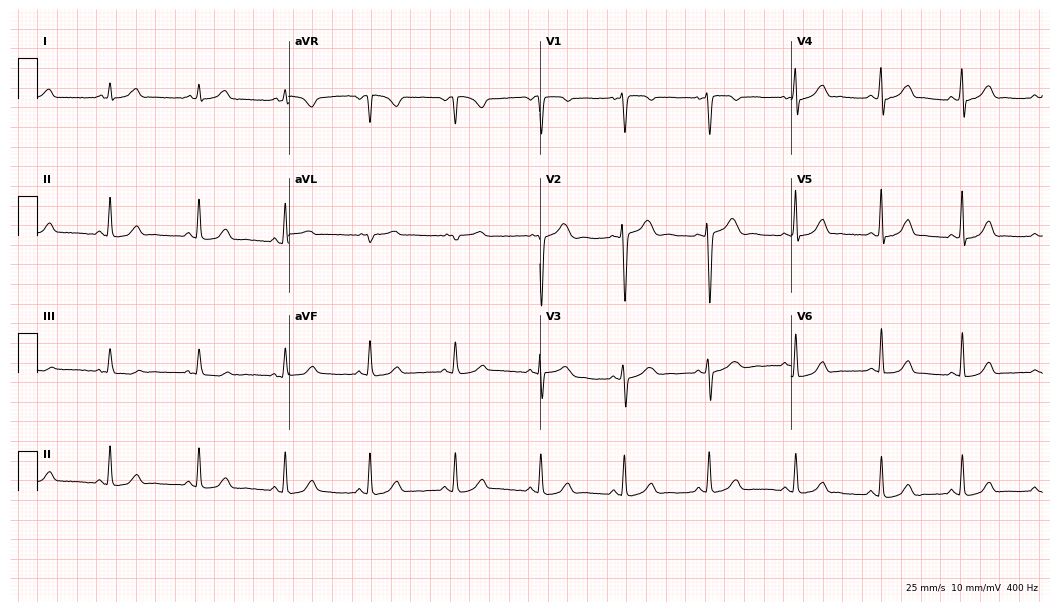
ECG — a female patient, 45 years old. Labelled as a normal ECG.